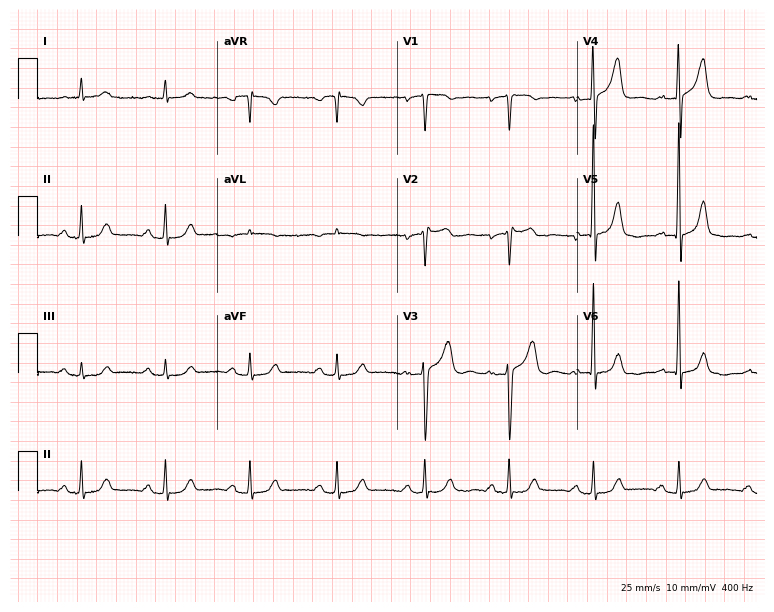
12-lead ECG (7.3-second recording at 400 Hz) from a male, 81 years old. Labelled as a normal ECG.